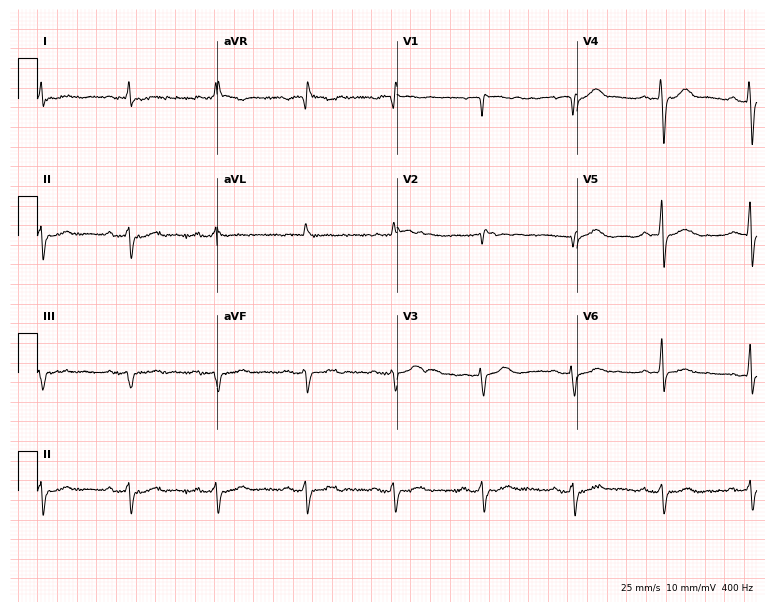
Standard 12-lead ECG recorded from an 80-year-old male. None of these six findings is recorded: first-degree AV block, right bundle branch block, left bundle branch block, sinus bradycardia, atrial fibrillation, sinus tachycardia.